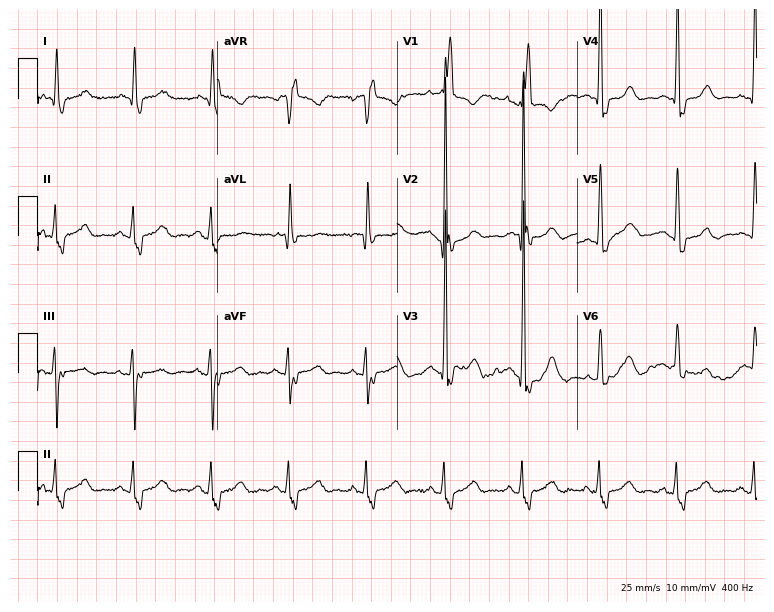
ECG (7.3-second recording at 400 Hz) — a male, 80 years old. Findings include right bundle branch block.